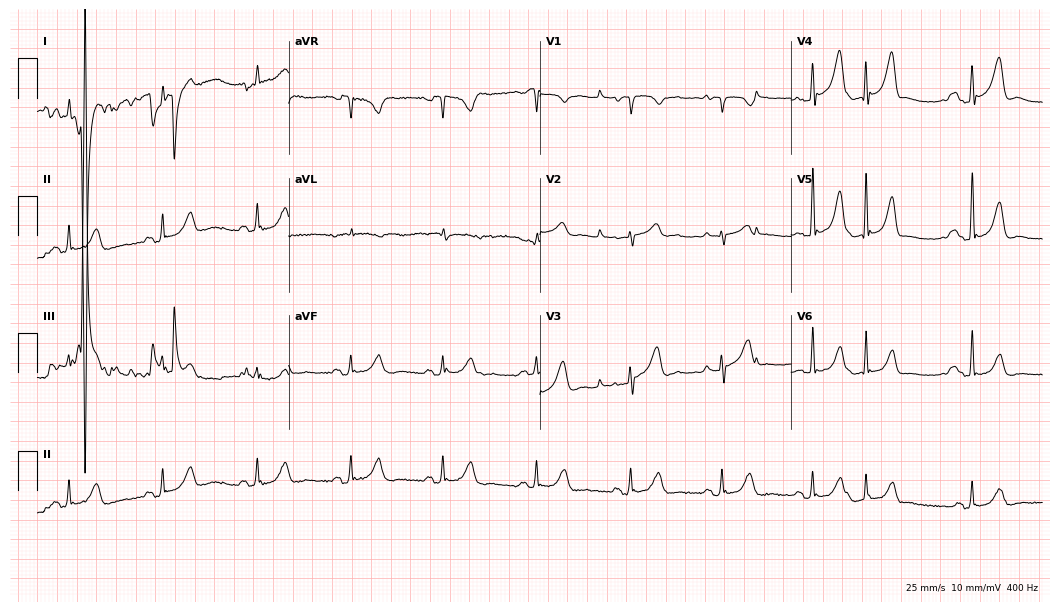
Resting 12-lead electrocardiogram (10.2-second recording at 400 Hz). Patient: a female, 76 years old. None of these six findings is recorded: first-degree AV block, right bundle branch block, left bundle branch block, sinus bradycardia, atrial fibrillation, sinus tachycardia.